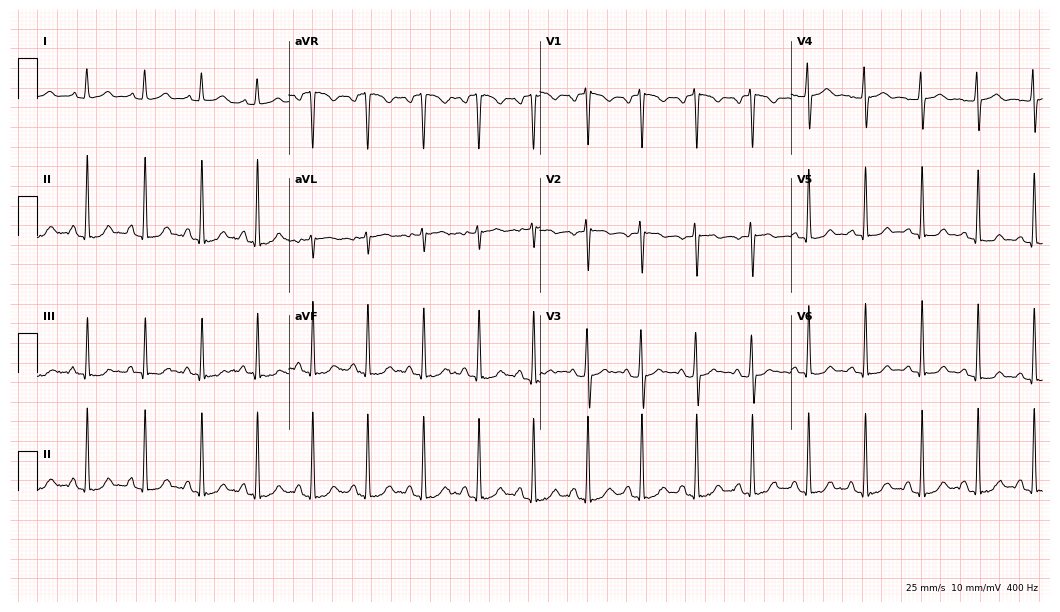
Standard 12-lead ECG recorded from a 24-year-old female (10.2-second recording at 400 Hz). None of these six findings is recorded: first-degree AV block, right bundle branch block (RBBB), left bundle branch block (LBBB), sinus bradycardia, atrial fibrillation (AF), sinus tachycardia. Findings outside these six are not listed.